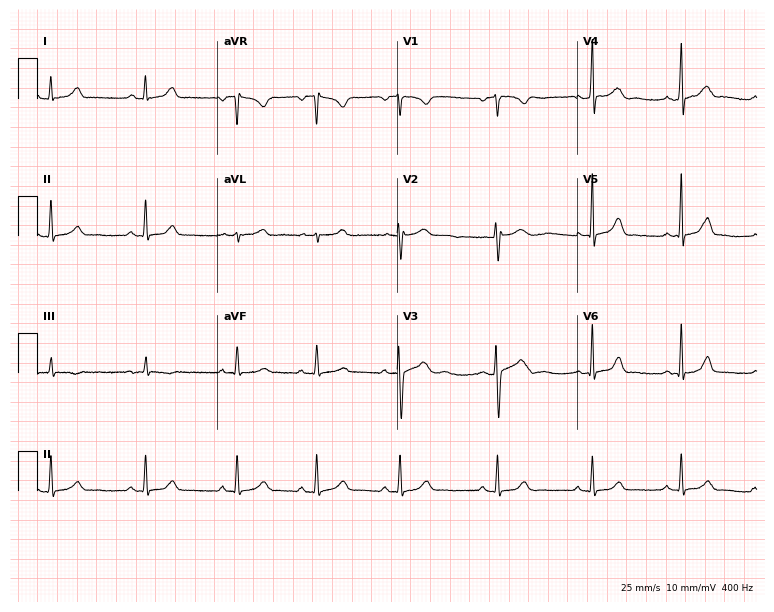
12-lead ECG (7.3-second recording at 400 Hz) from a 23-year-old female. Labelled as a normal ECG.